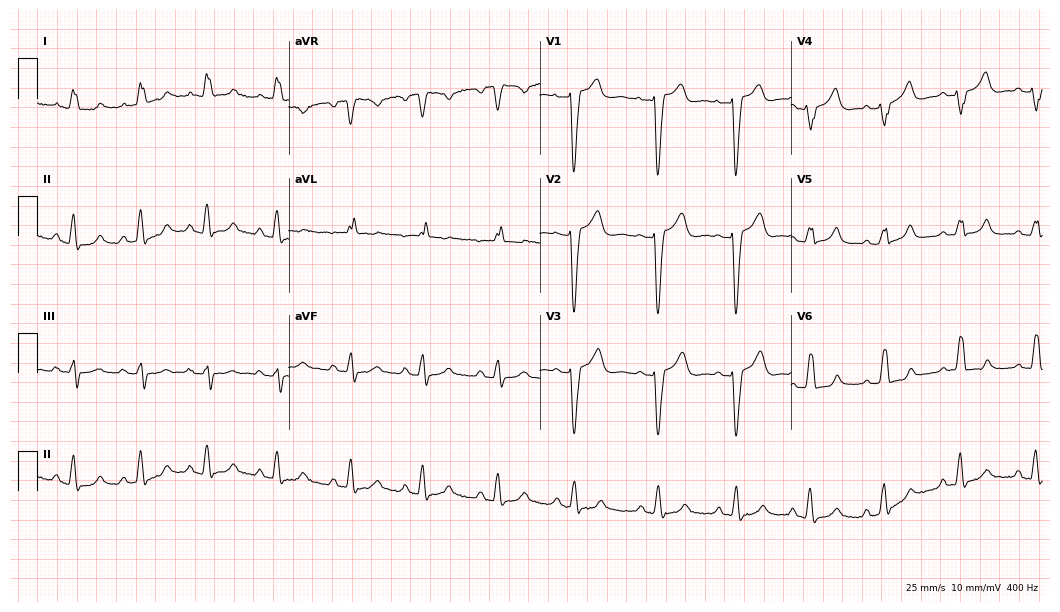
Resting 12-lead electrocardiogram. Patient: a 66-year-old female. None of these six findings is recorded: first-degree AV block, right bundle branch block, left bundle branch block, sinus bradycardia, atrial fibrillation, sinus tachycardia. Only these six findings were labelled.